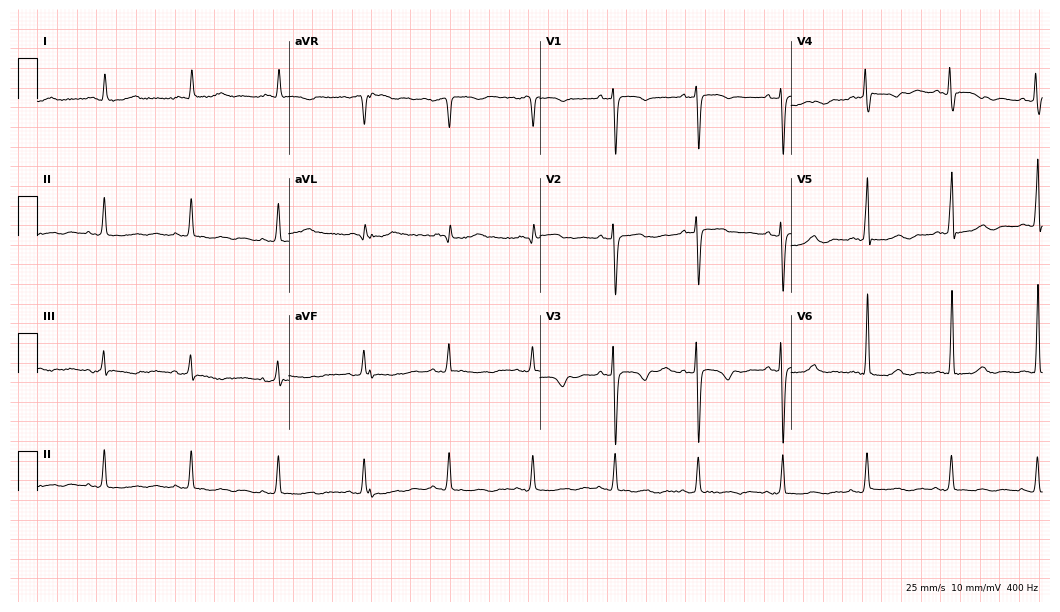
ECG (10.2-second recording at 400 Hz) — a woman, 76 years old. Screened for six findings — first-degree AV block, right bundle branch block, left bundle branch block, sinus bradycardia, atrial fibrillation, sinus tachycardia — none is recorded. Other findings, if any, are not listed.